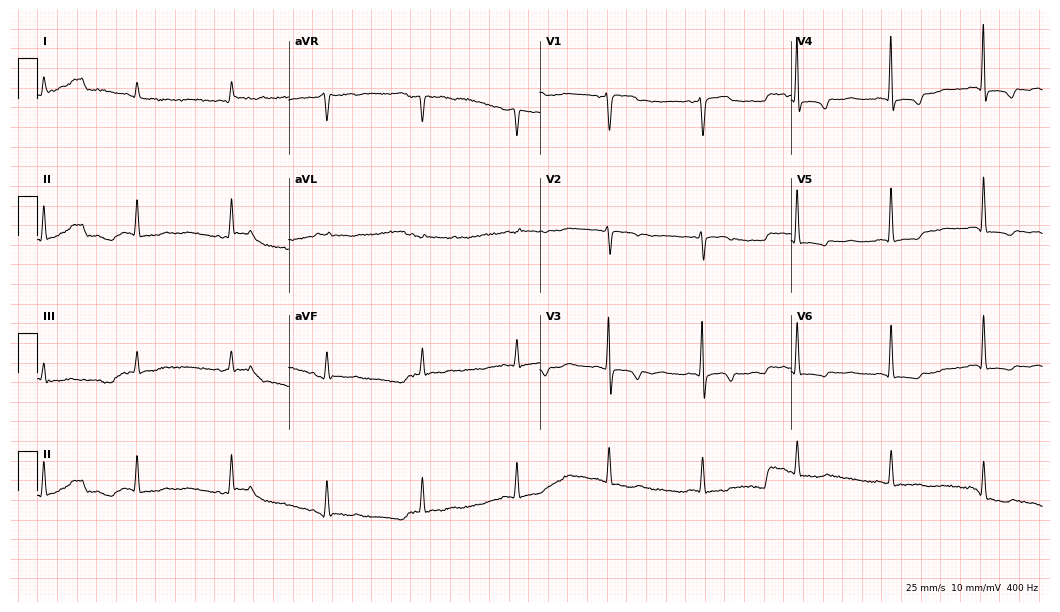
12-lead ECG from a 78-year-old female. No first-degree AV block, right bundle branch block, left bundle branch block, sinus bradycardia, atrial fibrillation or sinus tachycardia recorded for this tracing. Only these six findings were labelled.